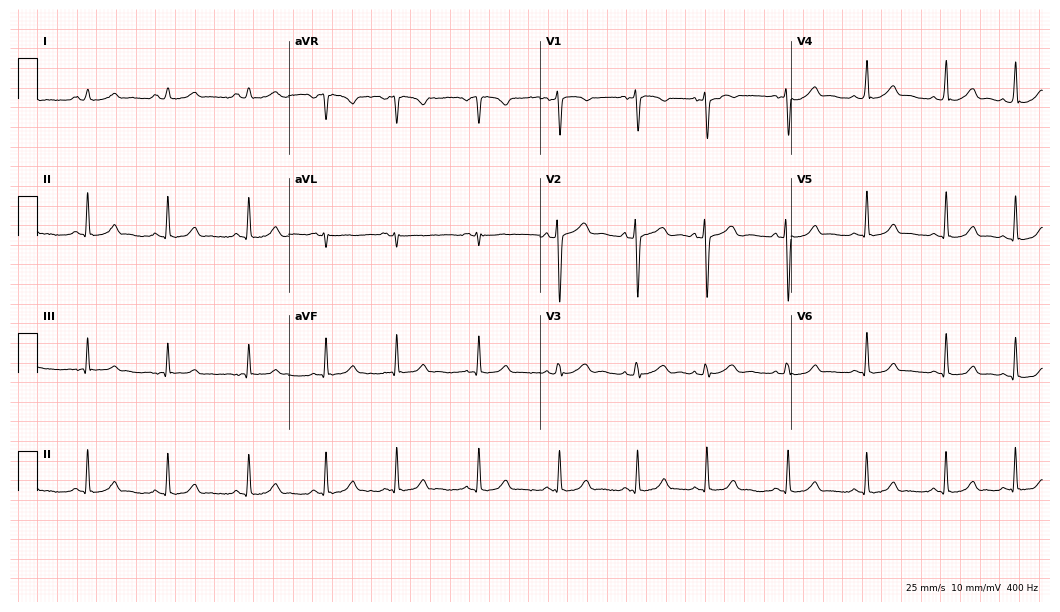
12-lead ECG from a woman, 17 years old (10.2-second recording at 400 Hz). Recorded interpretation: within normal limits.